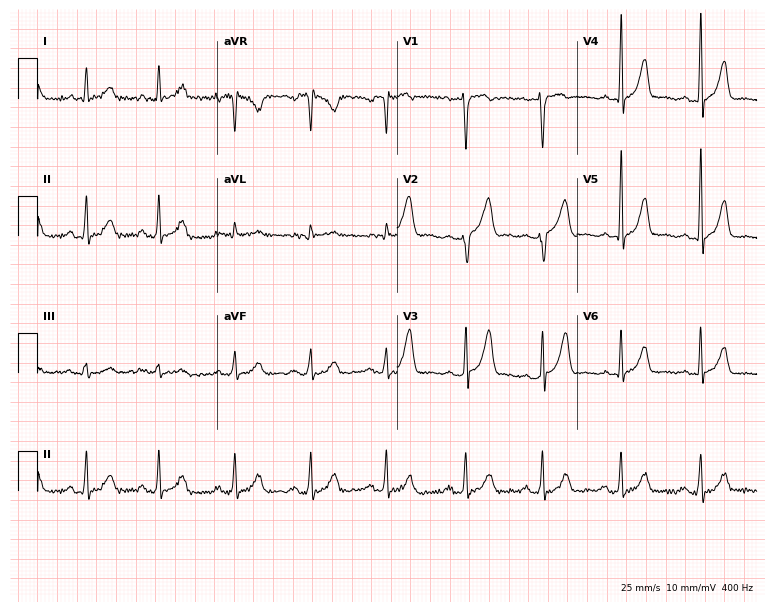
Resting 12-lead electrocardiogram (7.3-second recording at 400 Hz). Patient: a 40-year-old male. None of these six findings is recorded: first-degree AV block, right bundle branch block, left bundle branch block, sinus bradycardia, atrial fibrillation, sinus tachycardia.